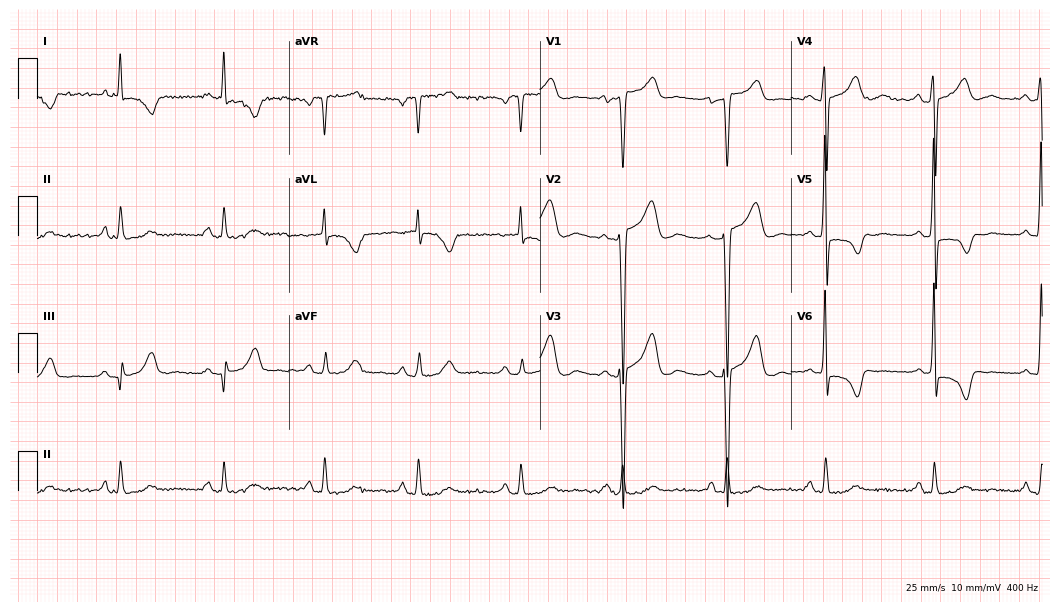
Standard 12-lead ECG recorded from a 44-year-old female. None of these six findings is recorded: first-degree AV block, right bundle branch block, left bundle branch block, sinus bradycardia, atrial fibrillation, sinus tachycardia. Other findings, if any, are not listed.